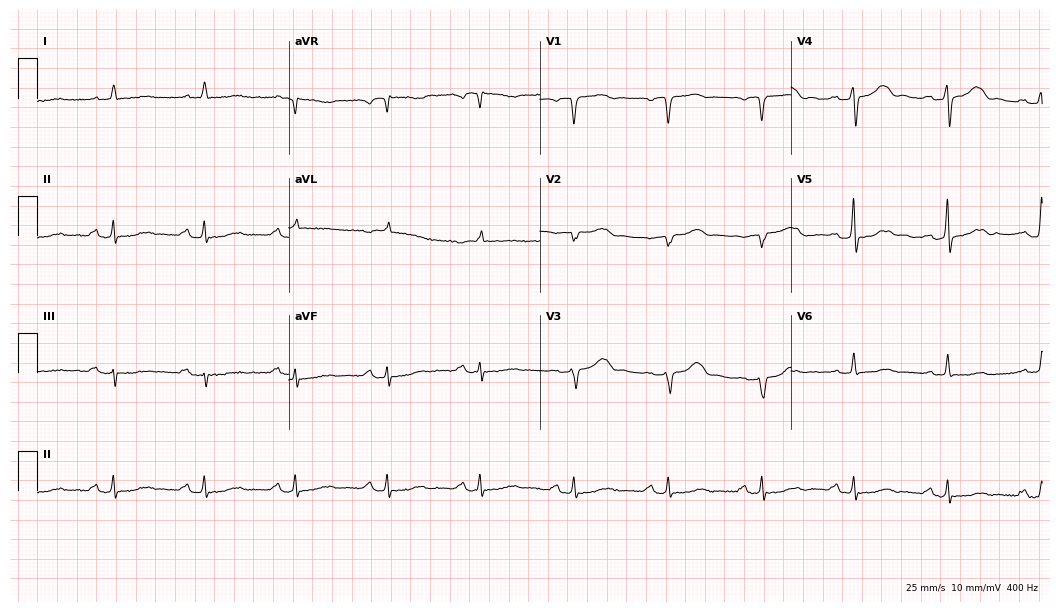
Resting 12-lead electrocardiogram. Patient: a 73-year-old male. The tracing shows first-degree AV block.